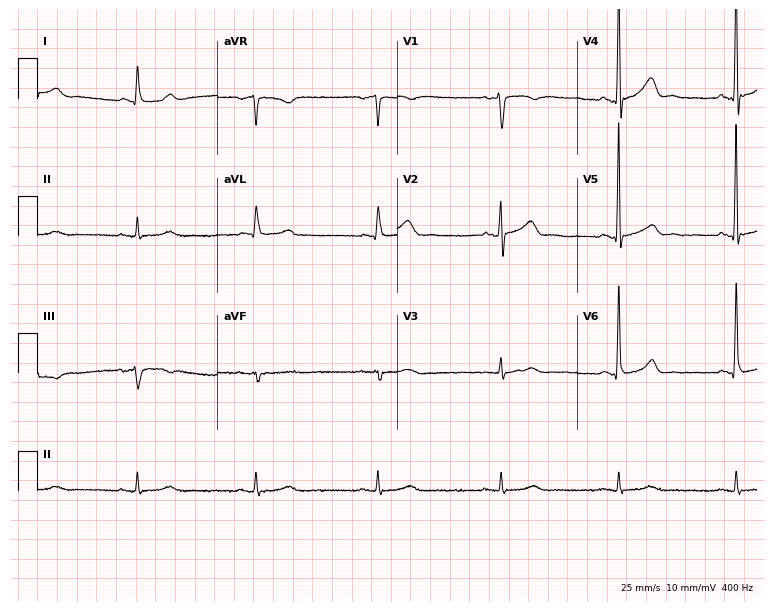
ECG — a man, 61 years old. Labelled as a normal ECG.